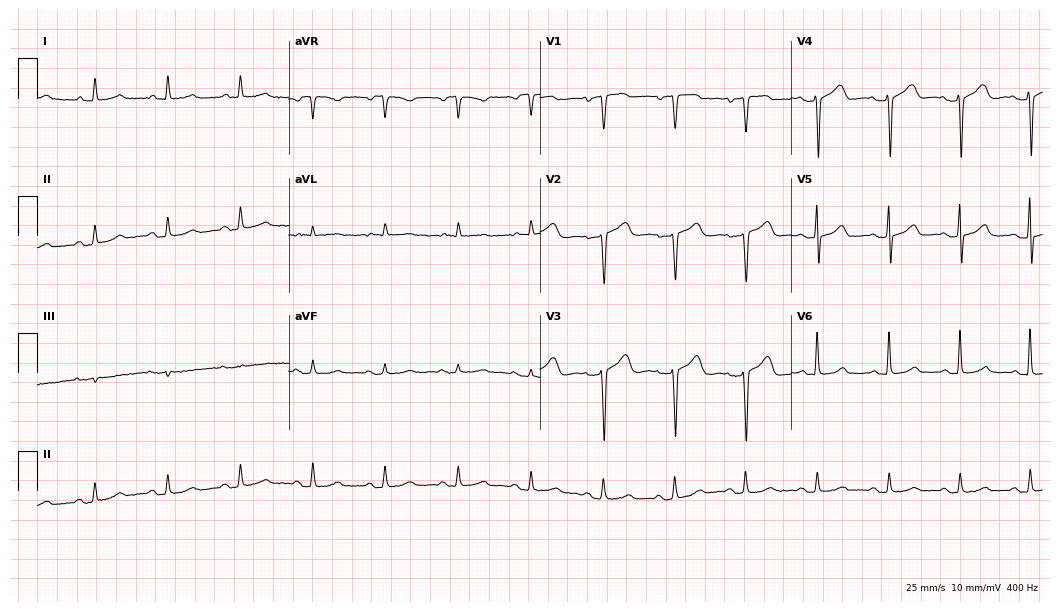
ECG (10.2-second recording at 400 Hz) — a female patient, 69 years old. Labelled as a normal ECG.